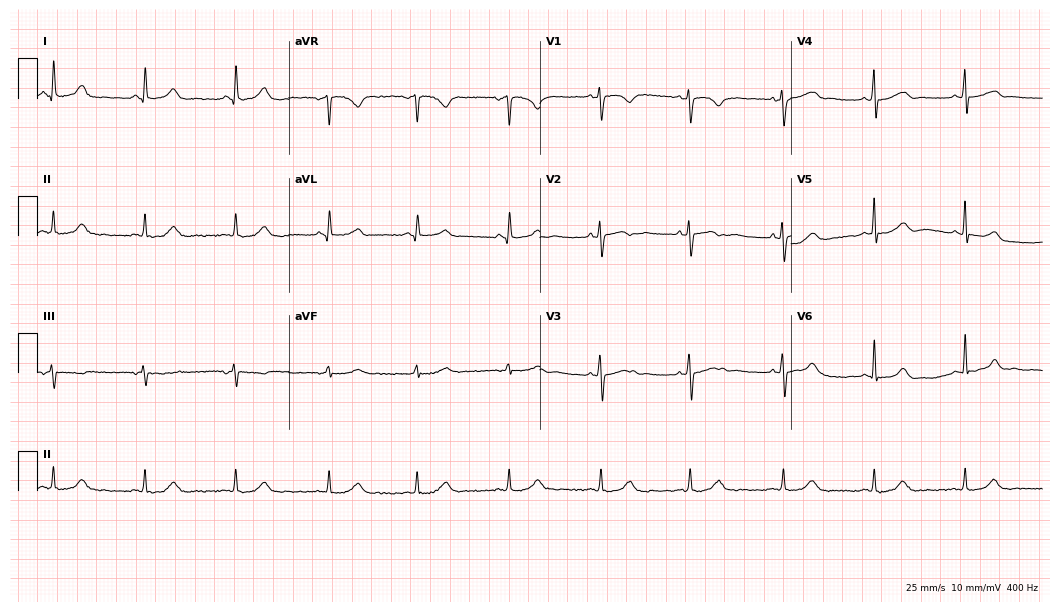
12-lead ECG from a woman, 38 years old (10.2-second recording at 400 Hz). Recorded interpretation: within normal limits.